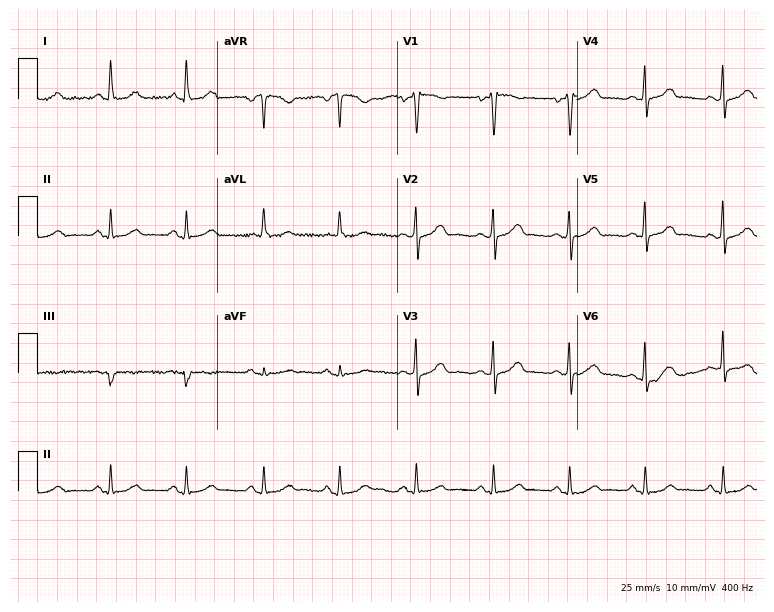
Resting 12-lead electrocardiogram (7.3-second recording at 400 Hz). Patient: a 73-year-old man. Read as a normal ECG.